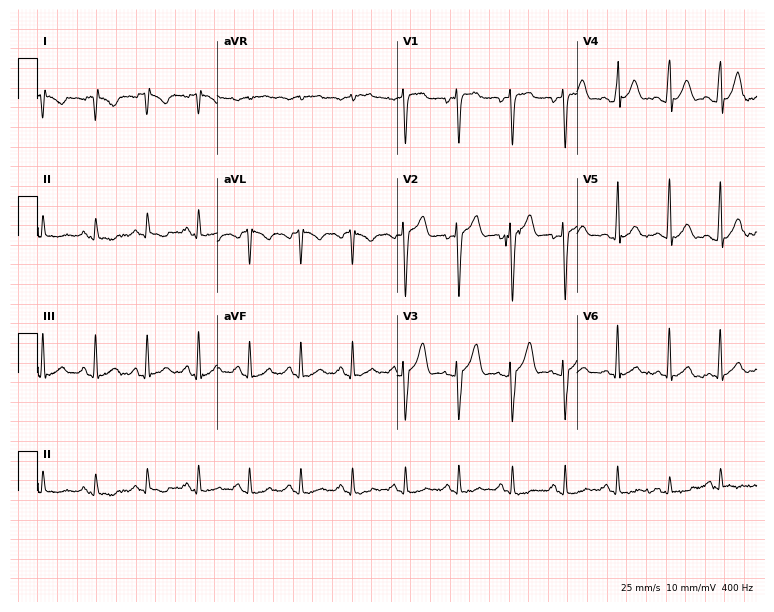
Electrocardiogram, a man, 26 years old. Of the six screened findings (first-degree AV block, right bundle branch block, left bundle branch block, sinus bradycardia, atrial fibrillation, sinus tachycardia), none is recorded.